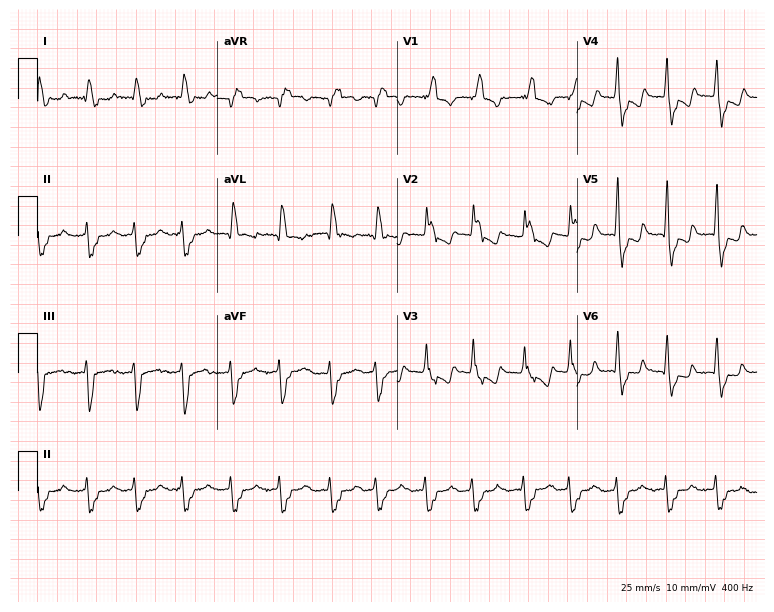
Resting 12-lead electrocardiogram. Patient: a woman, 84 years old. The tracing shows right bundle branch block, atrial fibrillation, sinus tachycardia (a sinus rate of 100 beats per minute or more).